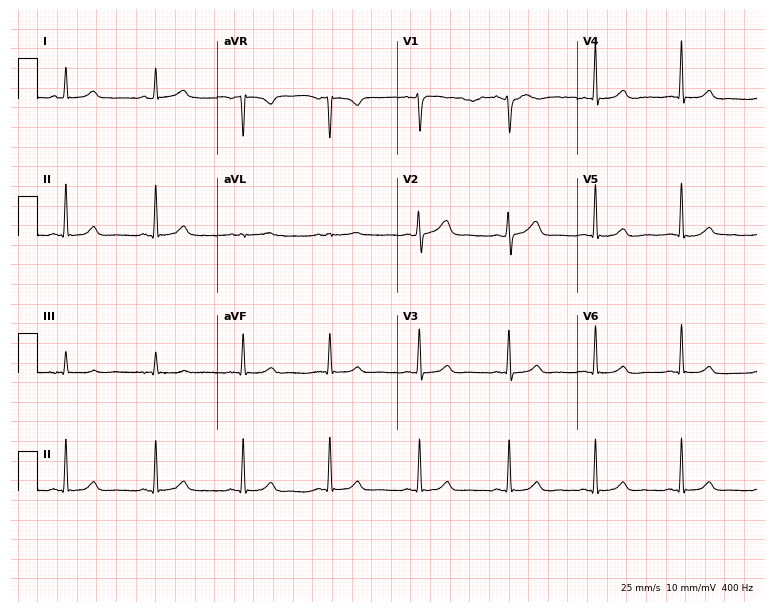
12-lead ECG from a female, 51 years old. Recorded interpretation: within normal limits.